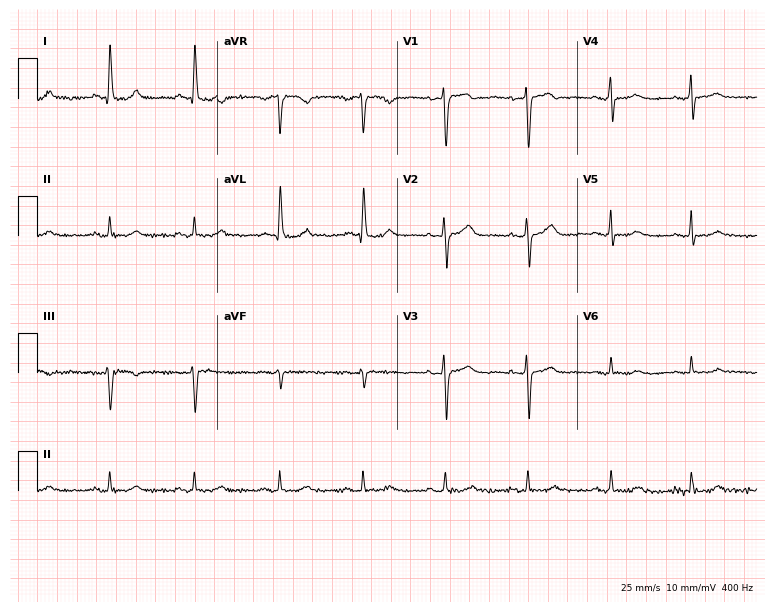
ECG (7.3-second recording at 400 Hz) — a 62-year-old female patient. Labelled as a normal ECG.